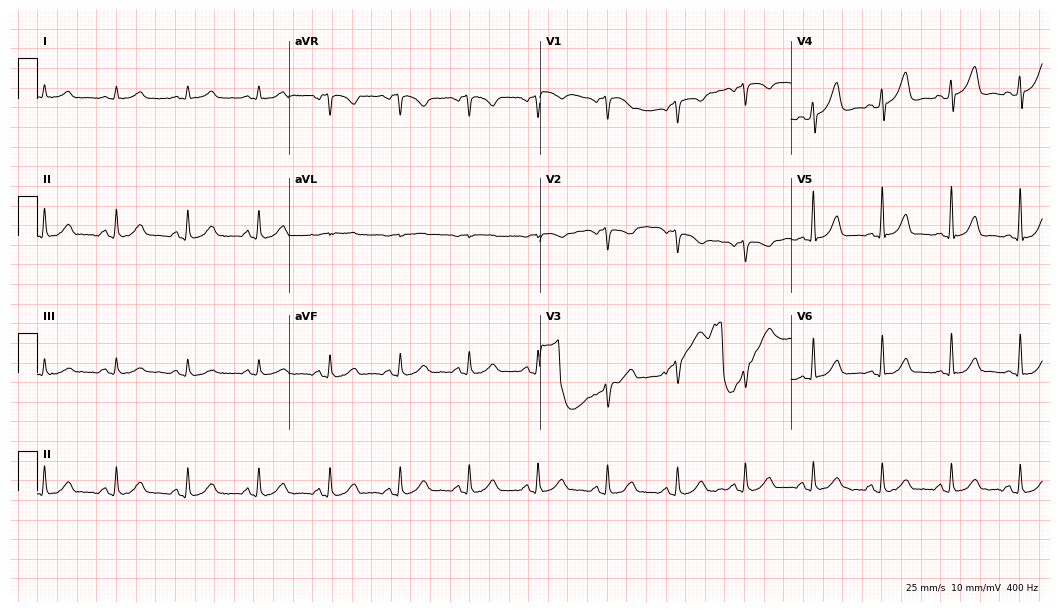
12-lead ECG from a 69-year-old male patient. Screened for six findings — first-degree AV block, right bundle branch block, left bundle branch block, sinus bradycardia, atrial fibrillation, sinus tachycardia — none is recorded.